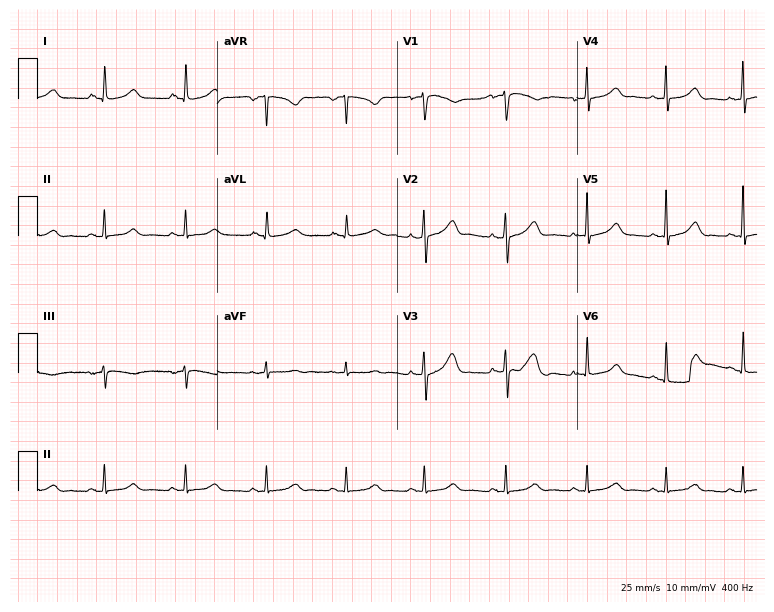
ECG — a 46-year-old female. Labelled as a normal ECG.